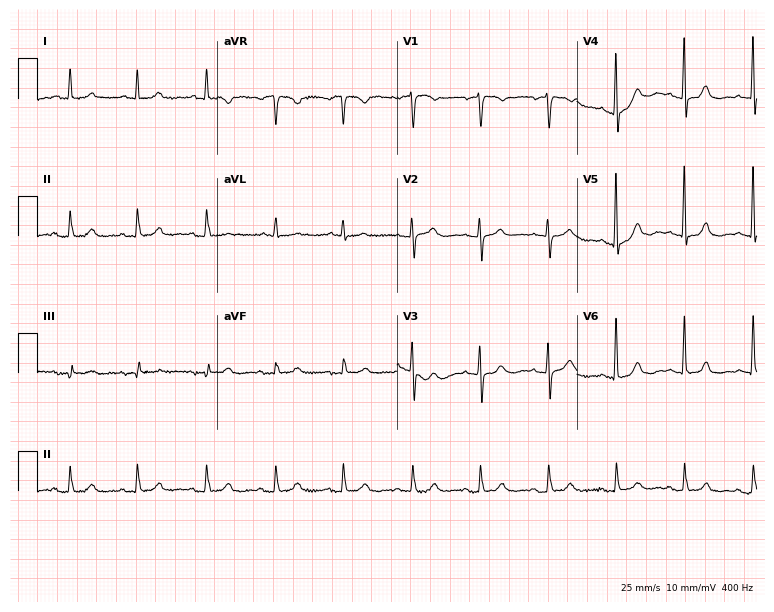
Electrocardiogram (7.3-second recording at 400 Hz), an 86-year-old female. Overall reading on record: normal ECG.